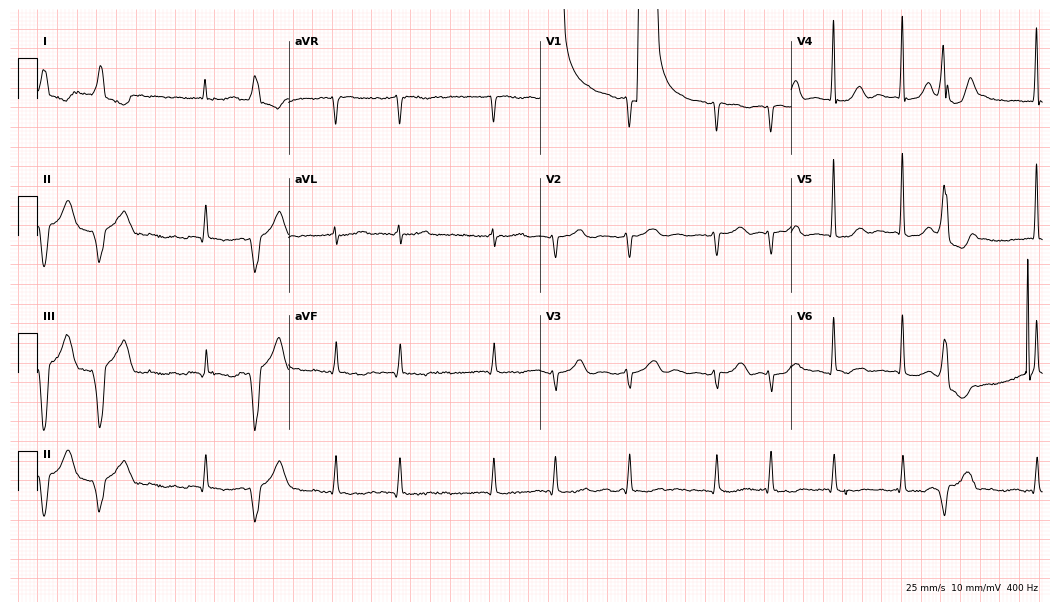
Electrocardiogram, a woman, 80 years old. Interpretation includes atrial fibrillation.